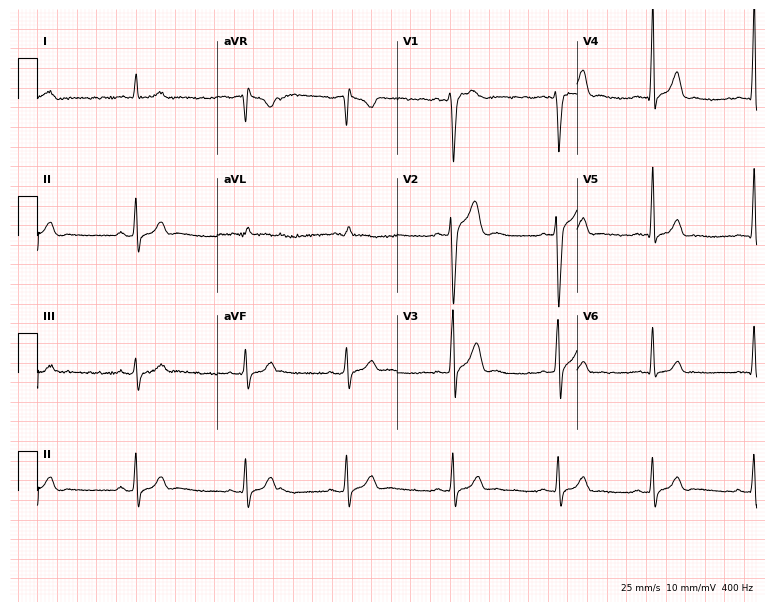
ECG (7.3-second recording at 400 Hz) — a male, 20 years old. Labelled as a normal ECG.